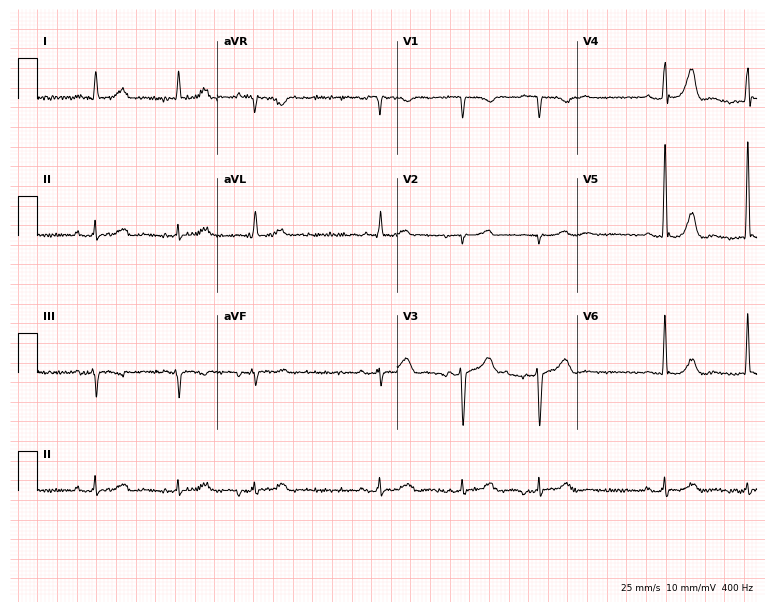
12-lead ECG from an 80-year-old man. No first-degree AV block, right bundle branch block (RBBB), left bundle branch block (LBBB), sinus bradycardia, atrial fibrillation (AF) or sinus tachycardia recorded for this tracing. Findings outside these six are not listed.